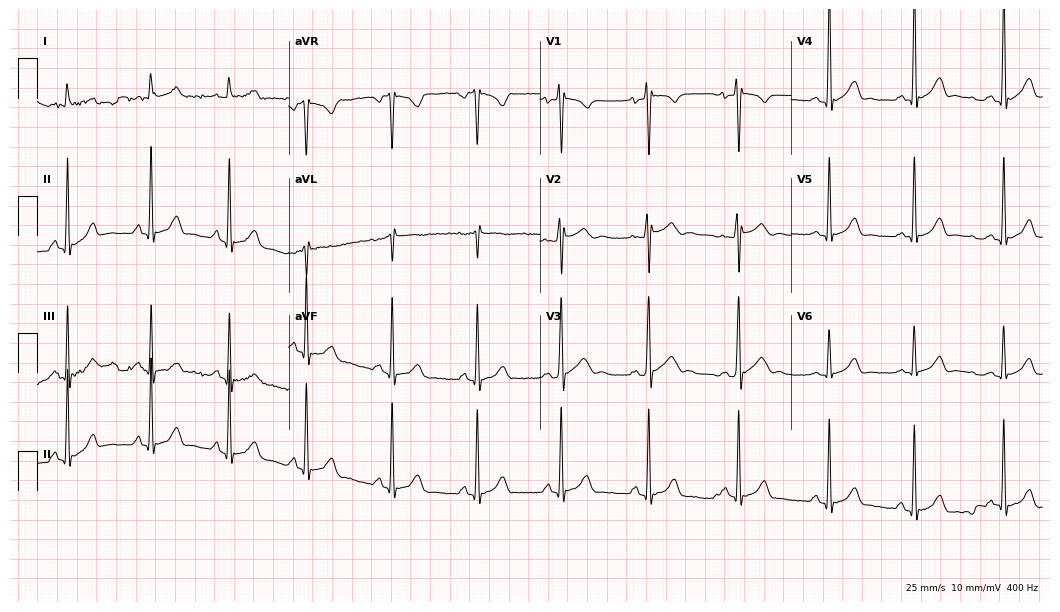
12-lead ECG from a man, 18 years old. Screened for six findings — first-degree AV block, right bundle branch block, left bundle branch block, sinus bradycardia, atrial fibrillation, sinus tachycardia — none is recorded.